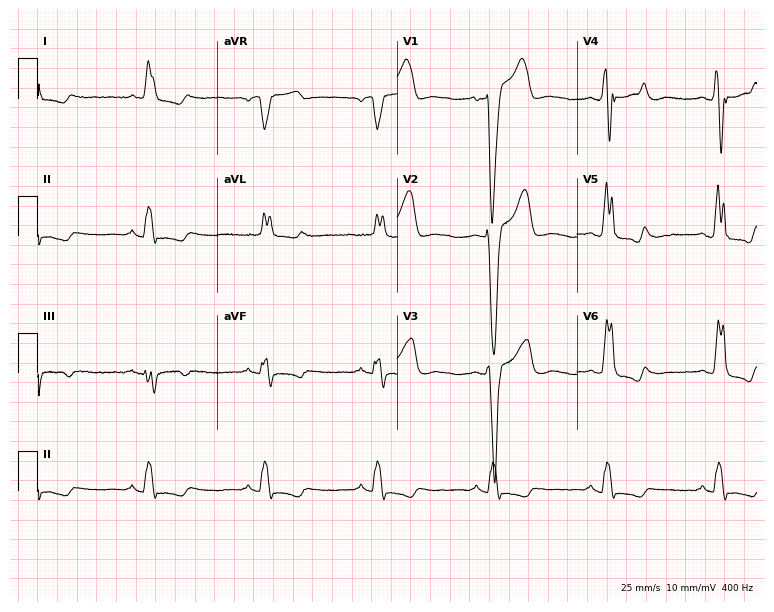
Electrocardiogram (7.3-second recording at 400 Hz), a man, 56 years old. Interpretation includes left bundle branch block.